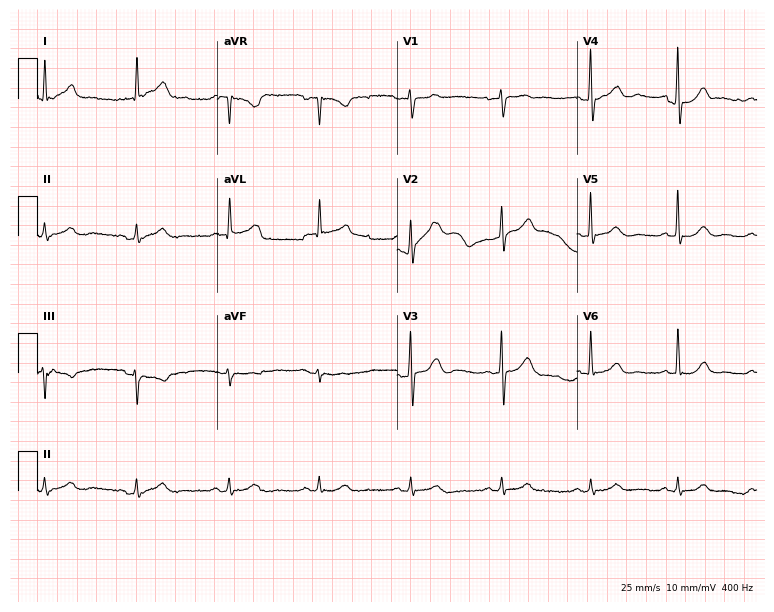
Electrocardiogram, a male patient, 72 years old. Overall reading on record: normal ECG.